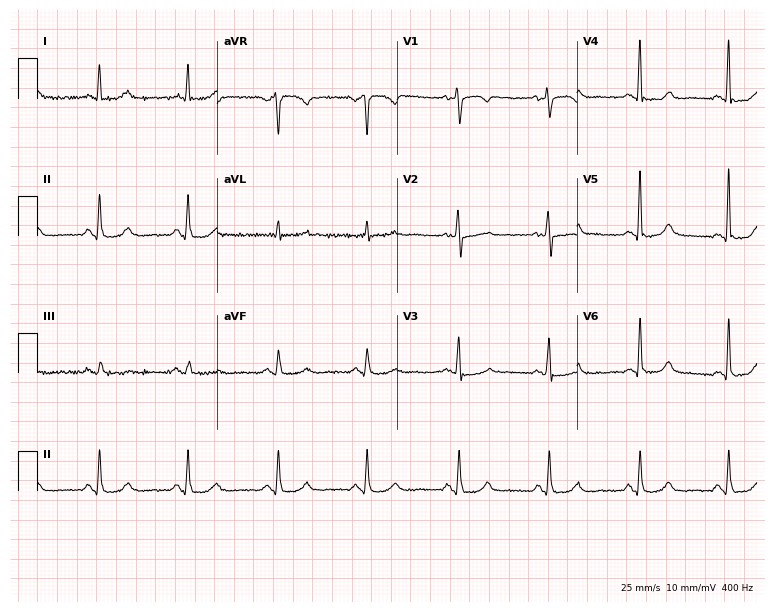
12-lead ECG from a female patient, 53 years old. Recorded interpretation: within normal limits.